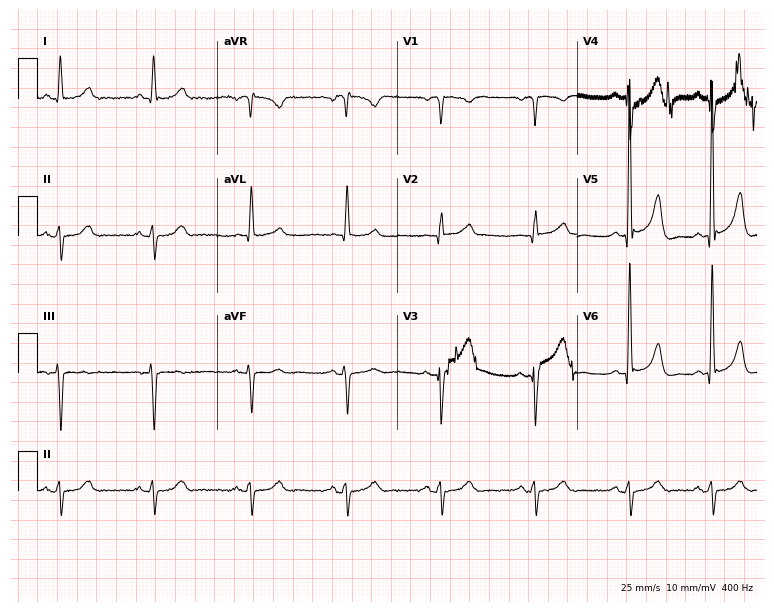
Electrocardiogram, a male, 84 years old. Of the six screened findings (first-degree AV block, right bundle branch block, left bundle branch block, sinus bradycardia, atrial fibrillation, sinus tachycardia), none is recorded.